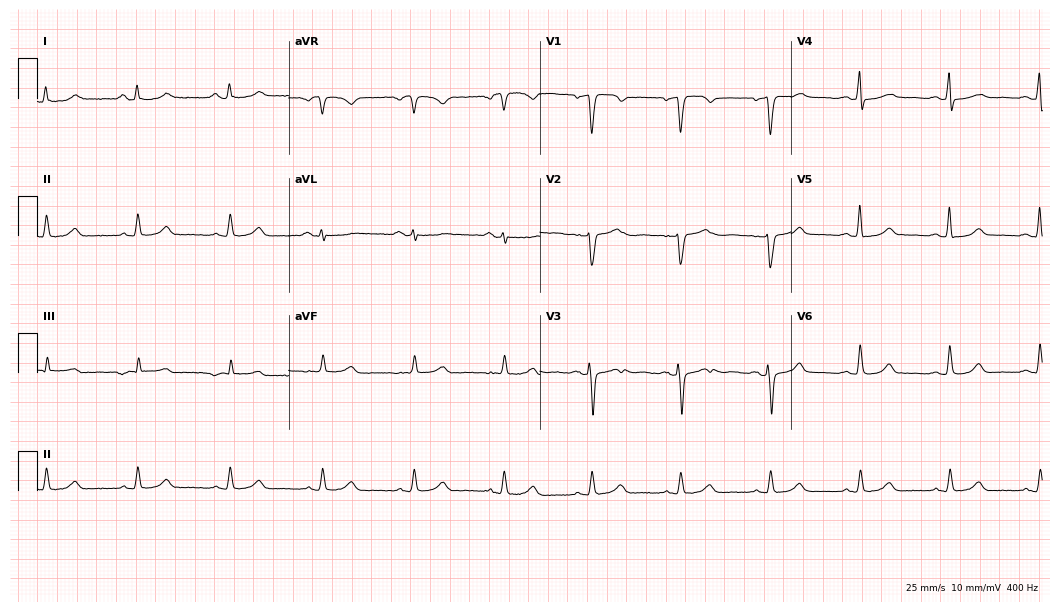
Standard 12-lead ECG recorded from a male patient, 53 years old (10.2-second recording at 400 Hz). Read as a normal ECG.